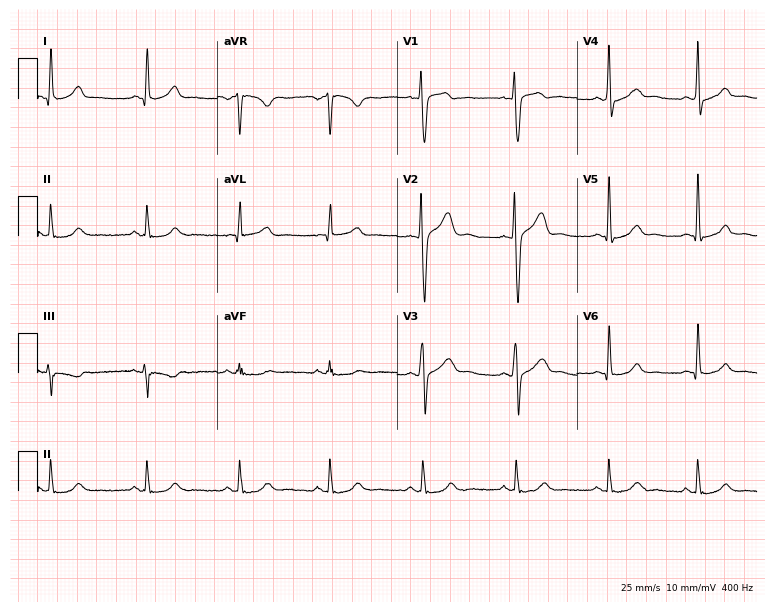
Resting 12-lead electrocardiogram (7.3-second recording at 400 Hz). Patient: a male, 32 years old. Read as a normal ECG.